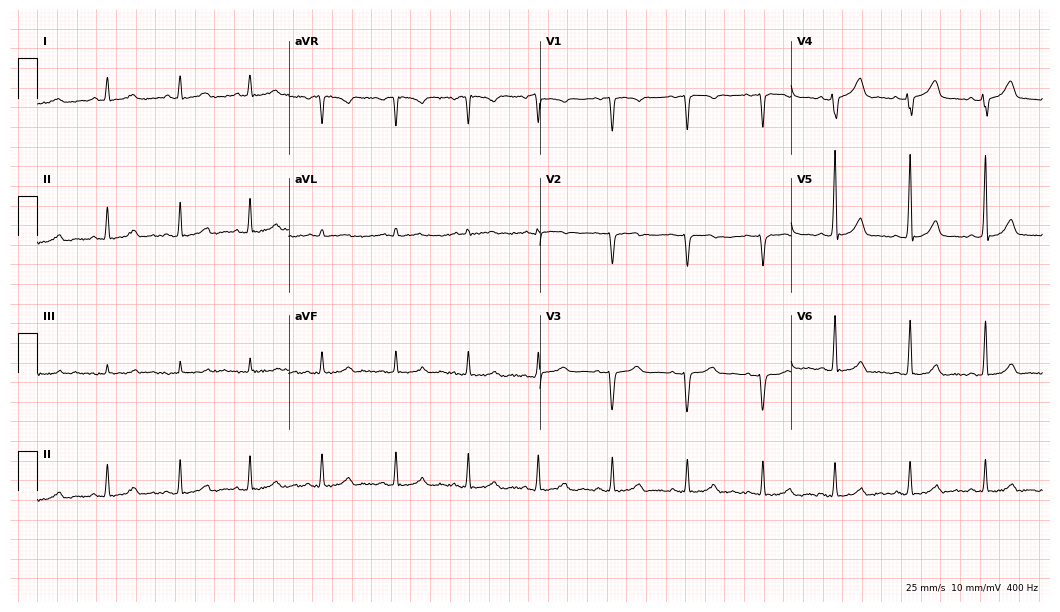
Electrocardiogram, a 30-year-old woman. Overall reading on record: normal ECG.